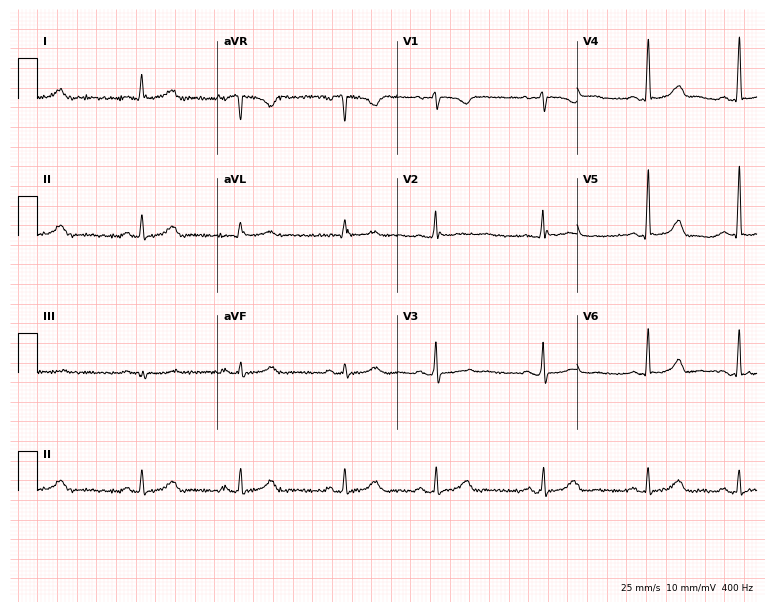
Standard 12-lead ECG recorded from a 35-year-old woman (7.3-second recording at 400 Hz). Read as a normal ECG.